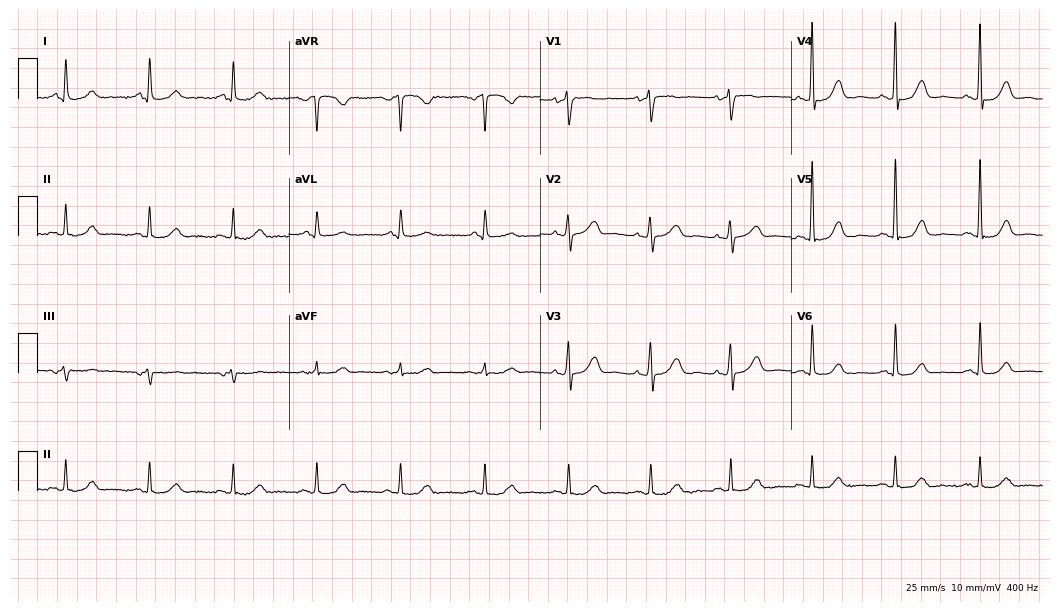
ECG — a 68-year-old woman. Labelled as a normal ECG.